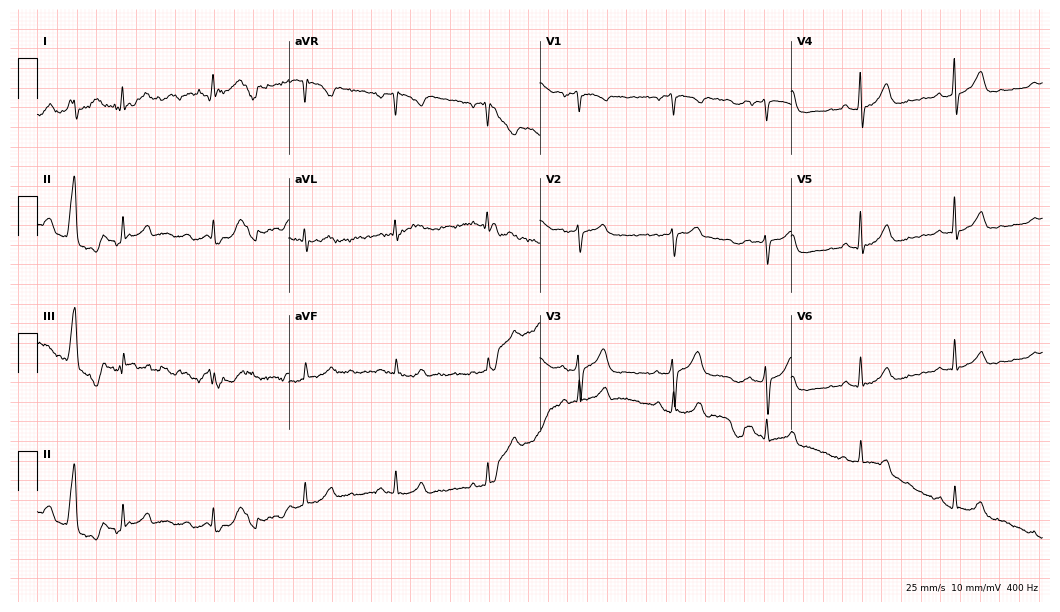
Electrocardiogram (10.2-second recording at 400 Hz), a female, 58 years old. Of the six screened findings (first-degree AV block, right bundle branch block, left bundle branch block, sinus bradycardia, atrial fibrillation, sinus tachycardia), none is recorded. Only these six findings were labelled.